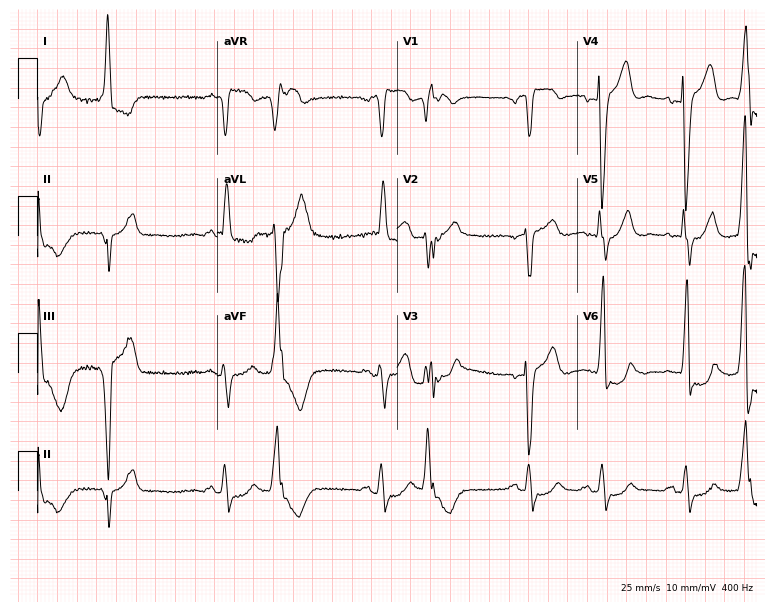
12-lead ECG from a woman, 82 years old. Screened for six findings — first-degree AV block, right bundle branch block (RBBB), left bundle branch block (LBBB), sinus bradycardia, atrial fibrillation (AF), sinus tachycardia — none is recorded. Other findings, if any, are not listed.